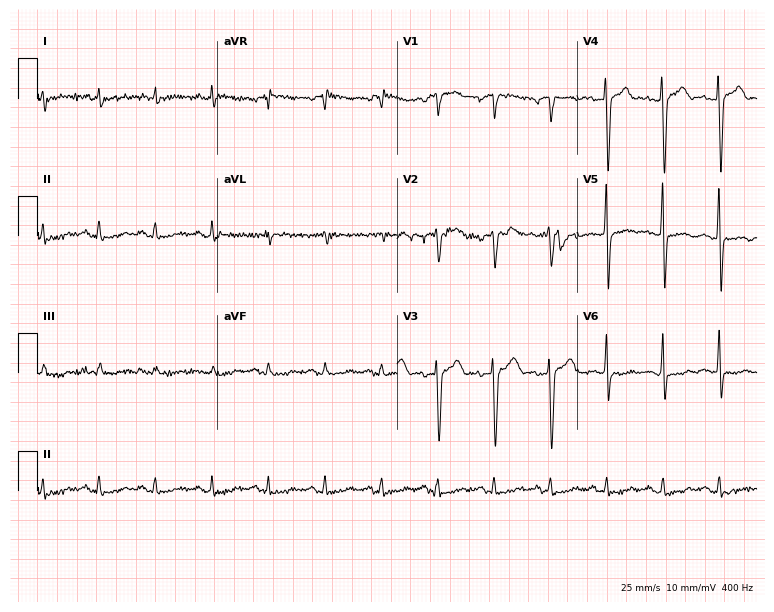
Electrocardiogram (7.3-second recording at 400 Hz), a woman, 81 years old. Interpretation includes sinus tachycardia (a sinus rate of 100 beats per minute or more).